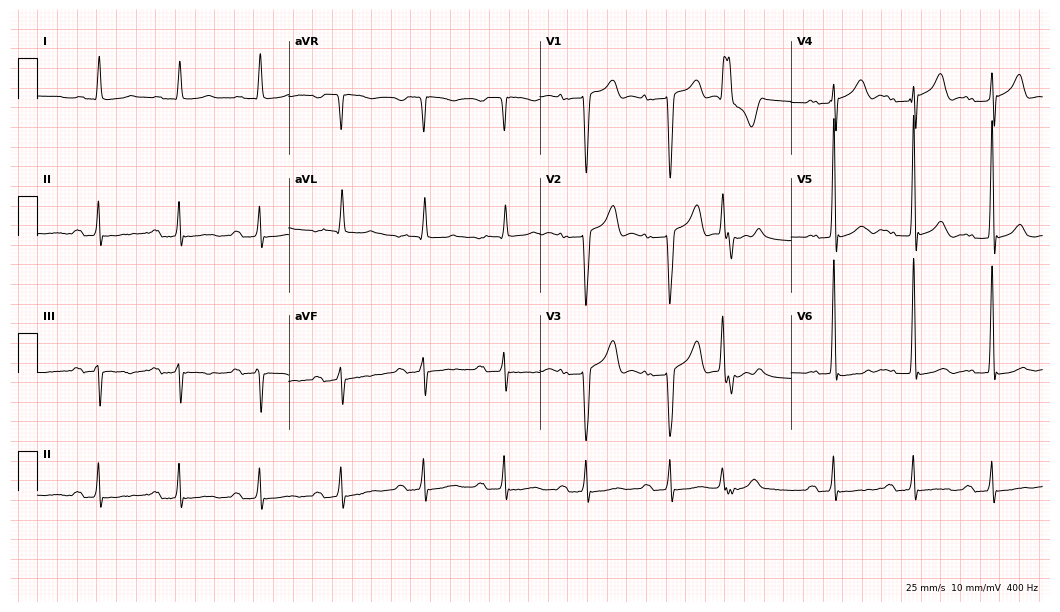
12-lead ECG (10.2-second recording at 400 Hz) from a 72-year-old male. Findings include first-degree AV block.